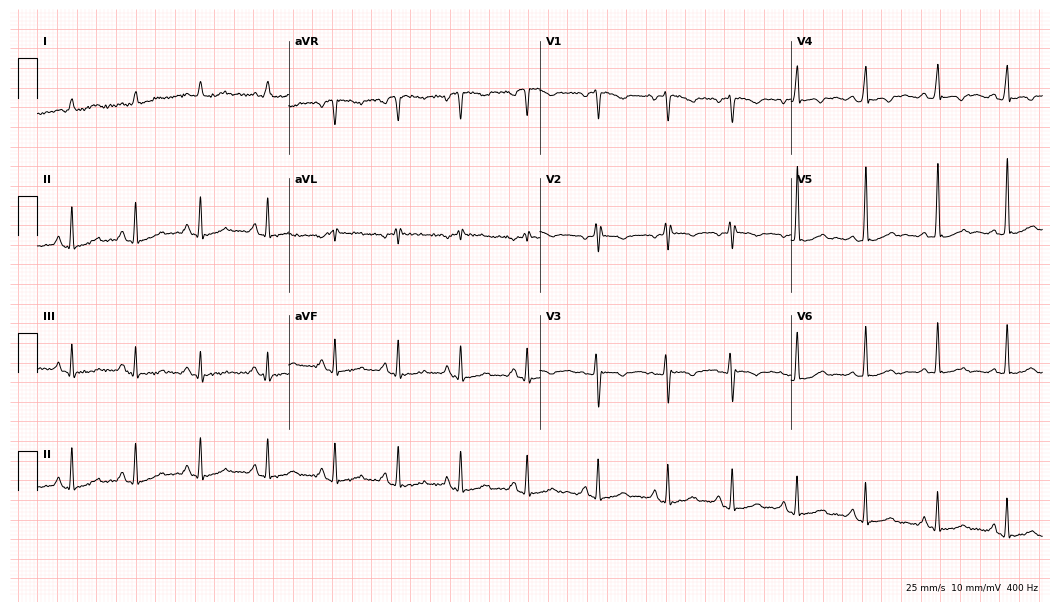
ECG (10.2-second recording at 400 Hz) — a 19-year-old female. Labelled as a normal ECG.